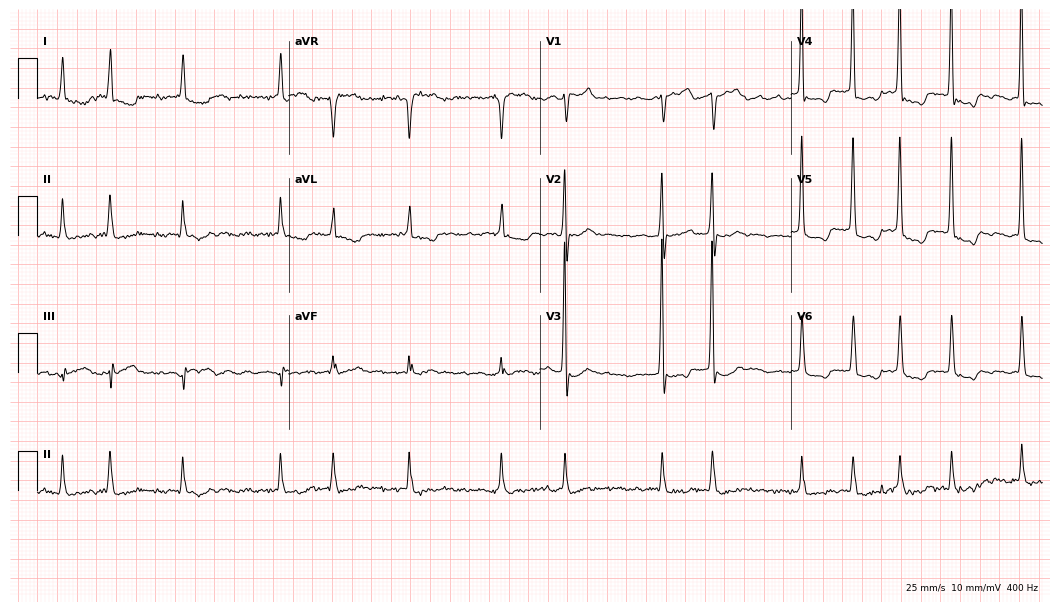
12-lead ECG from a woman, 73 years old. Shows atrial fibrillation.